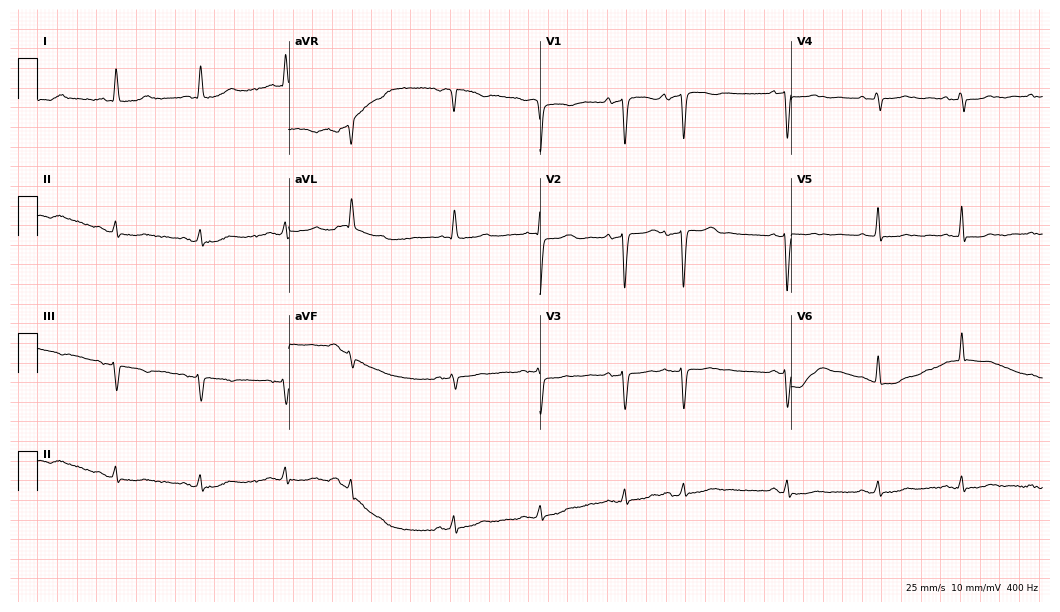
12-lead ECG from a female patient, 78 years old. No first-degree AV block, right bundle branch block (RBBB), left bundle branch block (LBBB), sinus bradycardia, atrial fibrillation (AF) or sinus tachycardia recorded for this tracing. Other findings, if any, are not listed.